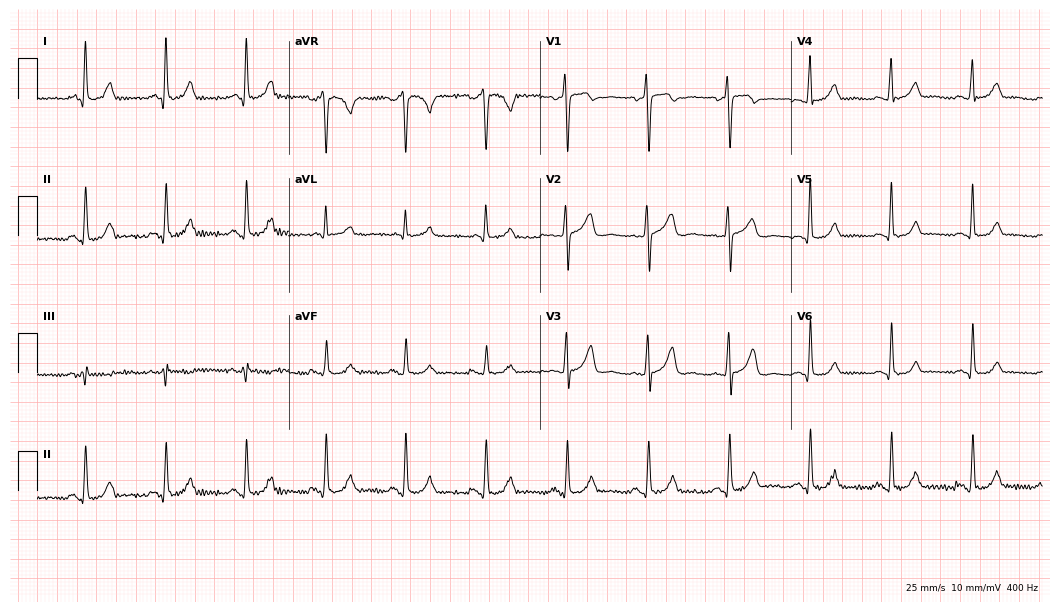
12-lead ECG from a woman, 50 years old. Screened for six findings — first-degree AV block, right bundle branch block, left bundle branch block, sinus bradycardia, atrial fibrillation, sinus tachycardia — none is recorded.